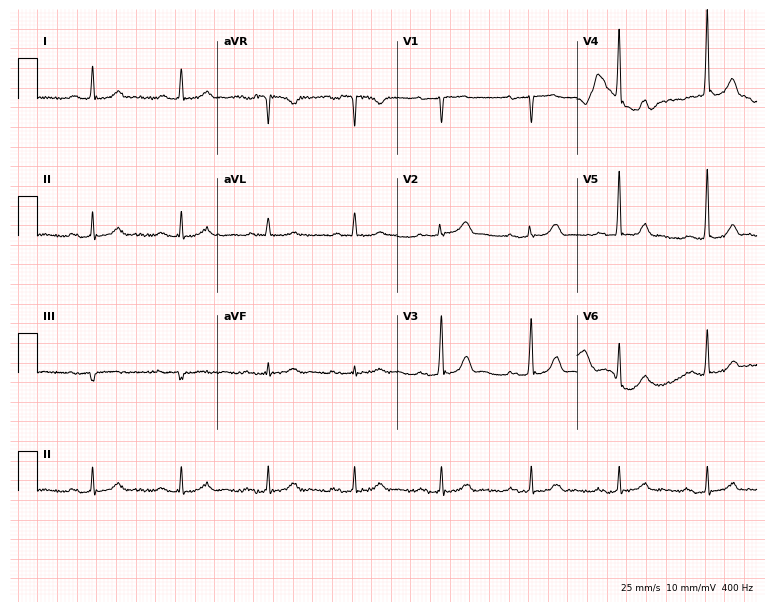
Standard 12-lead ECG recorded from a 64-year-old male. Read as a normal ECG.